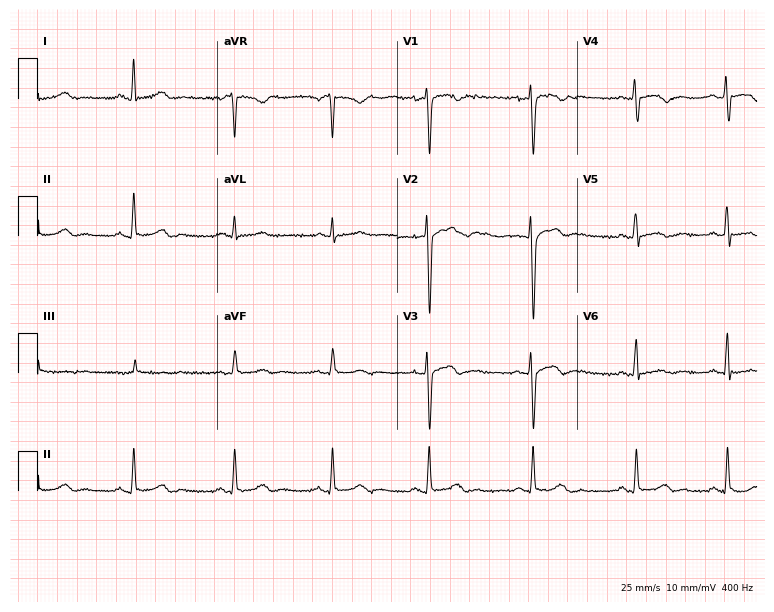
12-lead ECG from a 27-year-old woman (7.3-second recording at 400 Hz). Recorded interpretation: within normal limits.